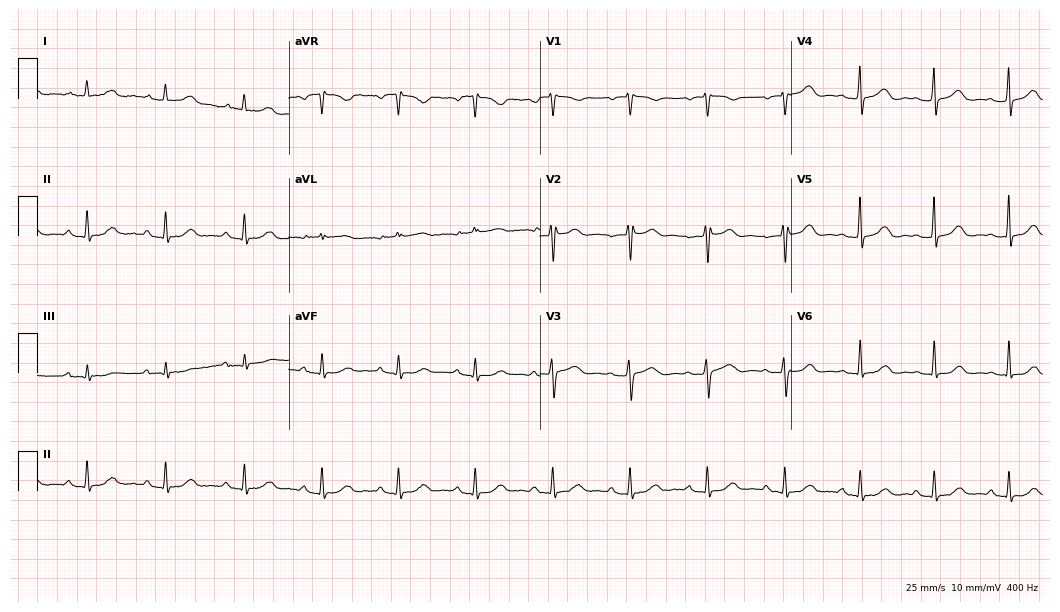
12-lead ECG from a female patient, 58 years old (10.2-second recording at 400 Hz). Recorded interpretation: within normal limits.